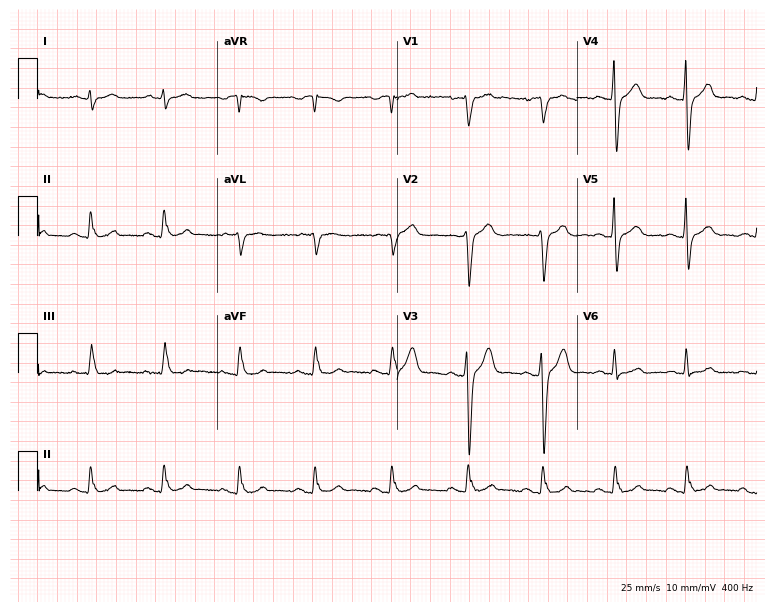
12-lead ECG from a 49-year-old male patient (7.3-second recording at 400 Hz). No first-degree AV block, right bundle branch block, left bundle branch block, sinus bradycardia, atrial fibrillation or sinus tachycardia recorded for this tracing. Only these six findings were labelled.